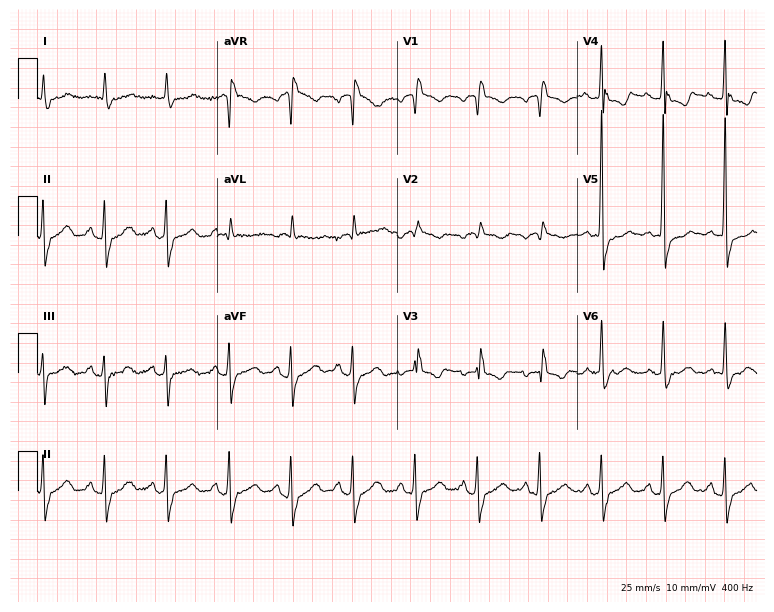
Standard 12-lead ECG recorded from a woman, 84 years old (7.3-second recording at 400 Hz). The tracing shows right bundle branch block.